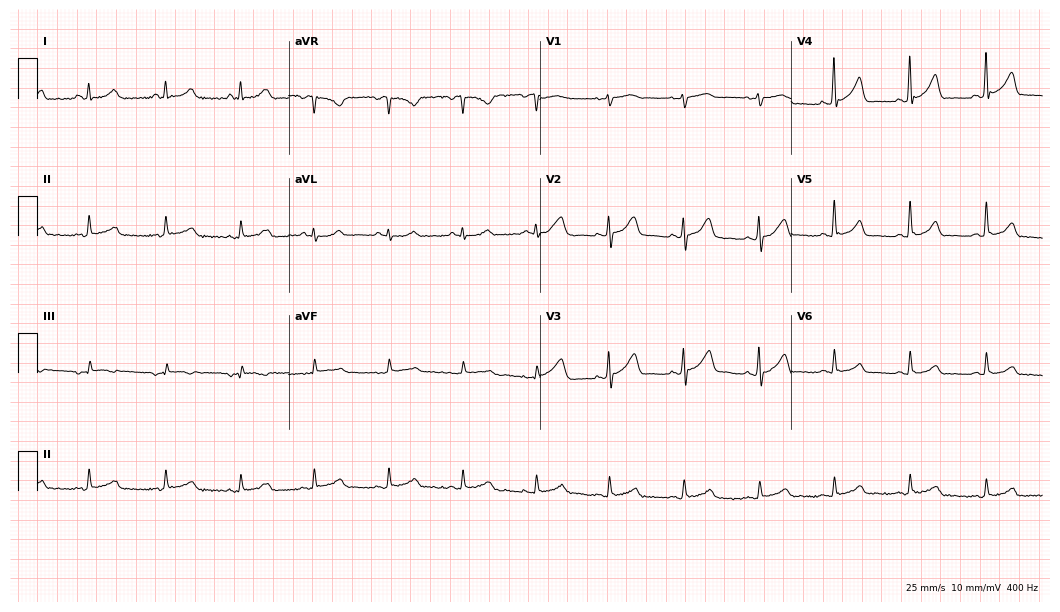
12-lead ECG from a man, 57 years old (10.2-second recording at 400 Hz). Recorded interpretation: within normal limits.